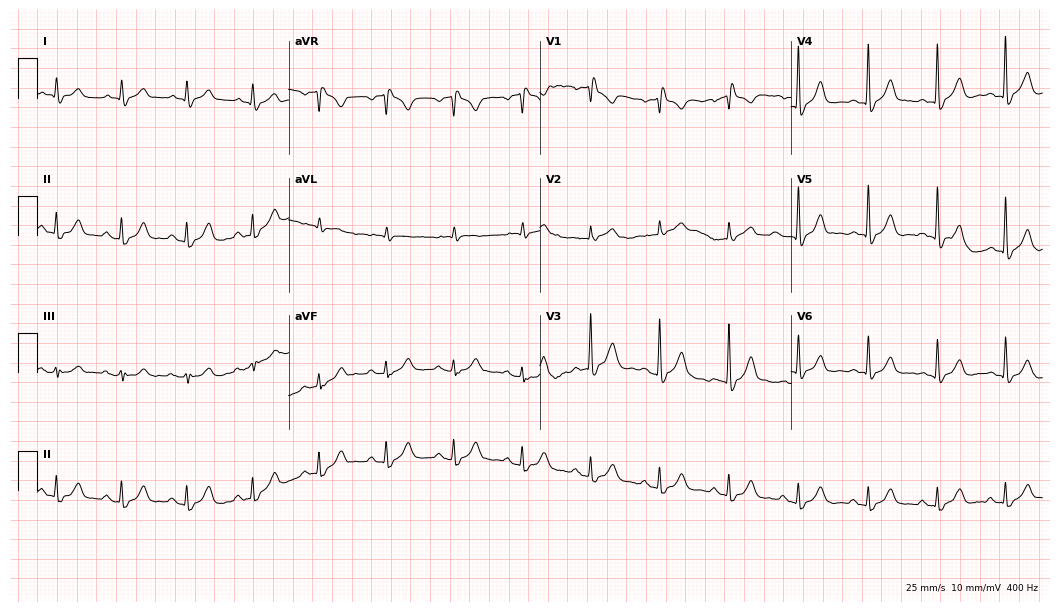
12-lead ECG from a 79-year-old man (10.2-second recording at 400 Hz). No first-degree AV block, right bundle branch block (RBBB), left bundle branch block (LBBB), sinus bradycardia, atrial fibrillation (AF) or sinus tachycardia recorded for this tracing.